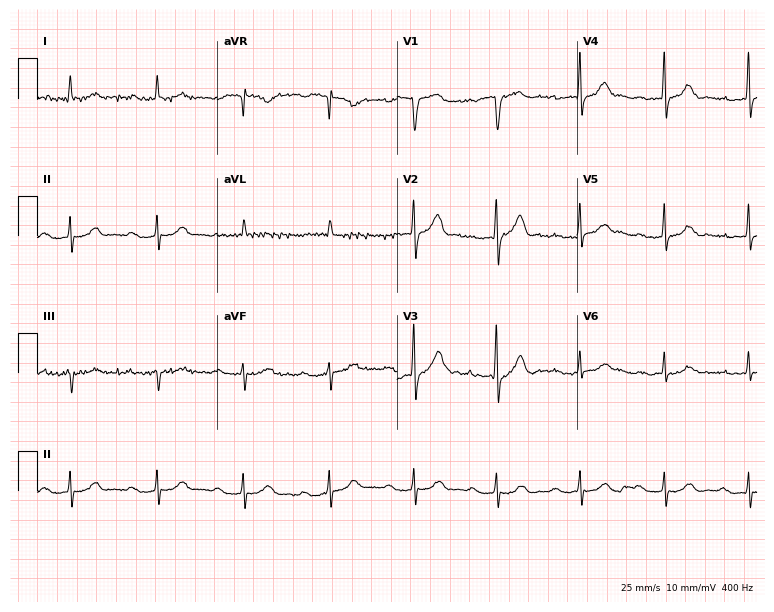
ECG (7.3-second recording at 400 Hz) — an 80-year-old male. Findings include first-degree AV block.